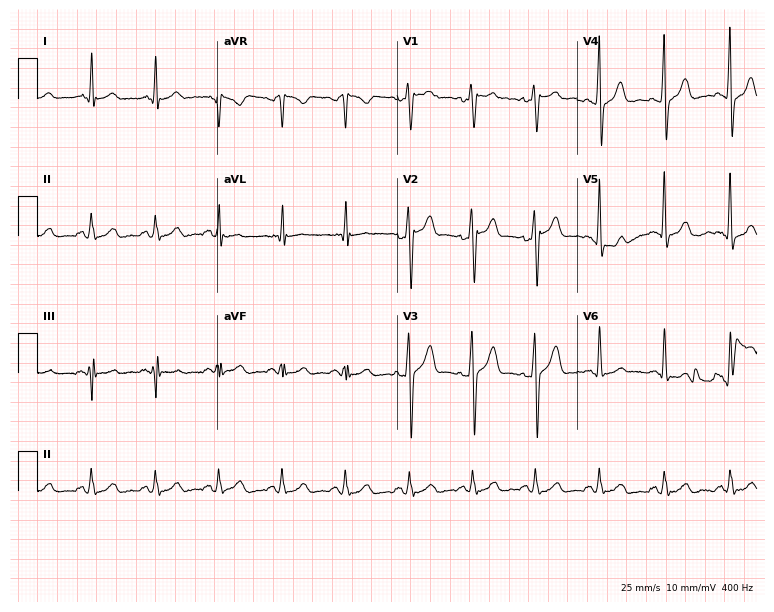
12-lead ECG from a male patient, 29 years old. No first-degree AV block, right bundle branch block, left bundle branch block, sinus bradycardia, atrial fibrillation or sinus tachycardia recorded for this tracing. Only these six findings were labelled.